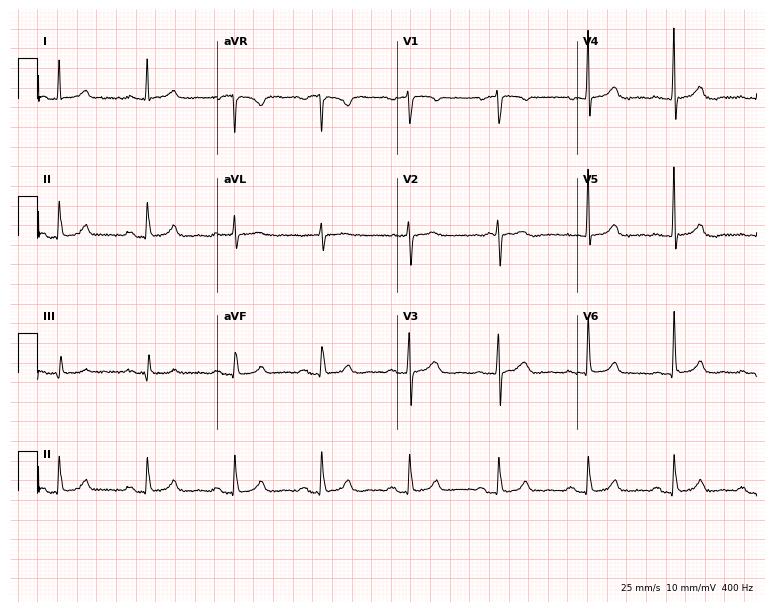
Standard 12-lead ECG recorded from a 68-year-old woman. Read as a normal ECG.